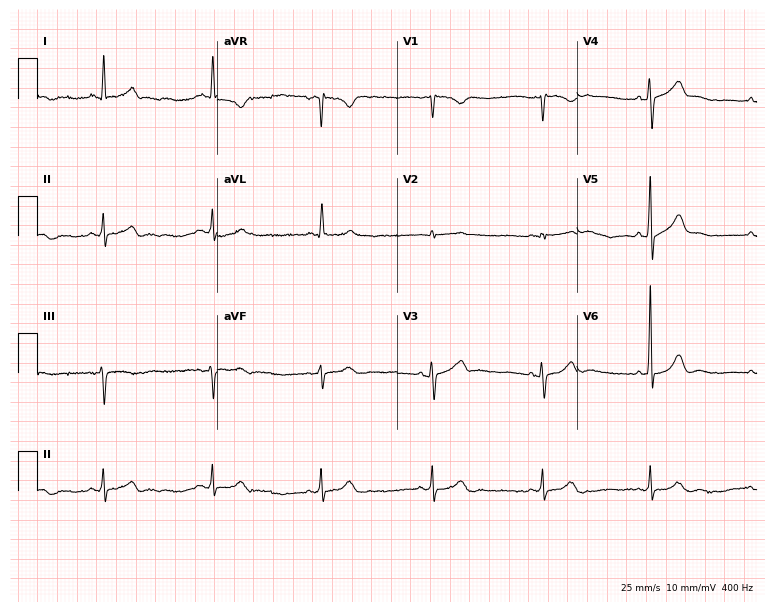
12-lead ECG from a man, 75 years old (7.3-second recording at 400 Hz). Recorded interpretation: within normal limits.